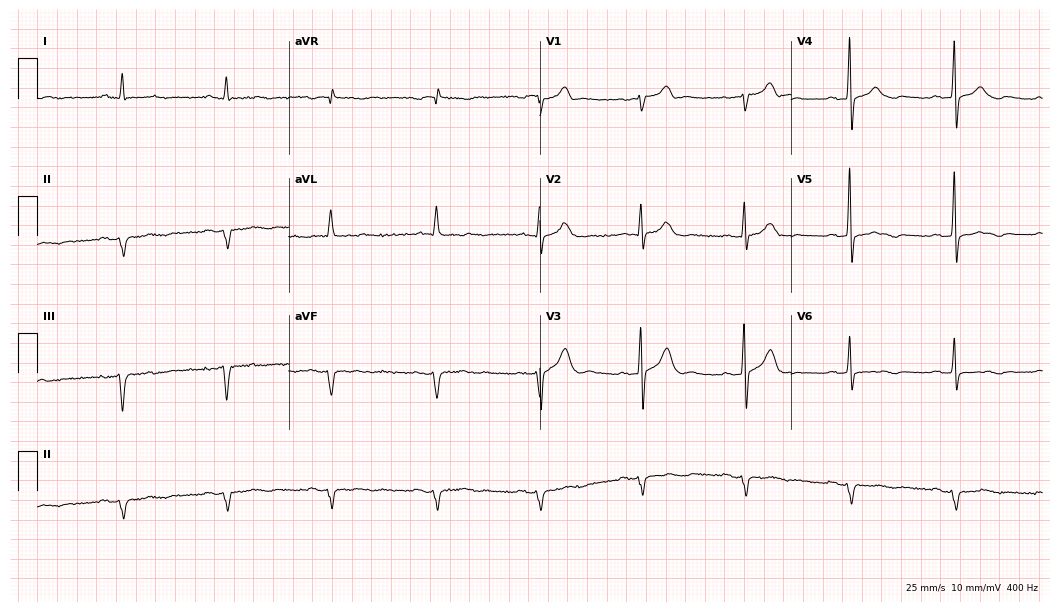
Electrocardiogram (10.2-second recording at 400 Hz), a male patient, 62 years old. Of the six screened findings (first-degree AV block, right bundle branch block (RBBB), left bundle branch block (LBBB), sinus bradycardia, atrial fibrillation (AF), sinus tachycardia), none is recorded. Other findings, if any, are not listed.